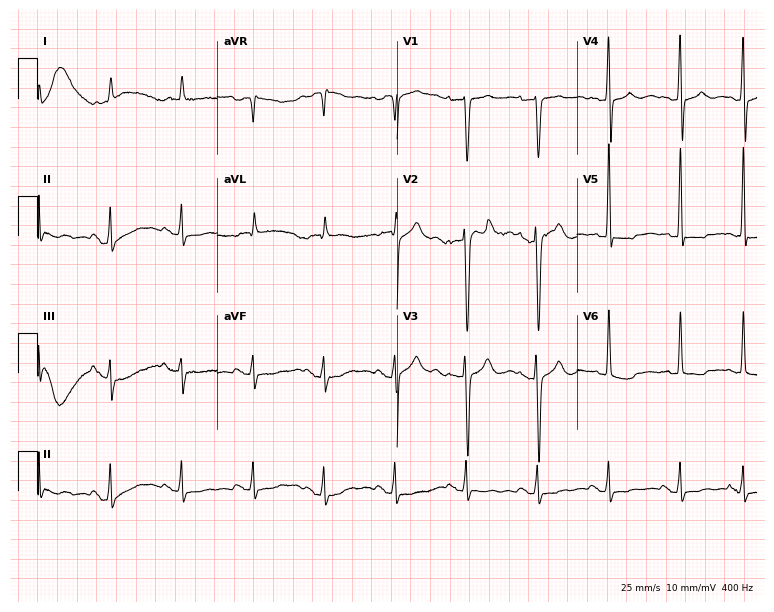
Resting 12-lead electrocardiogram (7.3-second recording at 400 Hz). Patient: a 72-year-old male. None of these six findings is recorded: first-degree AV block, right bundle branch block (RBBB), left bundle branch block (LBBB), sinus bradycardia, atrial fibrillation (AF), sinus tachycardia. Other findings, if any, are not listed.